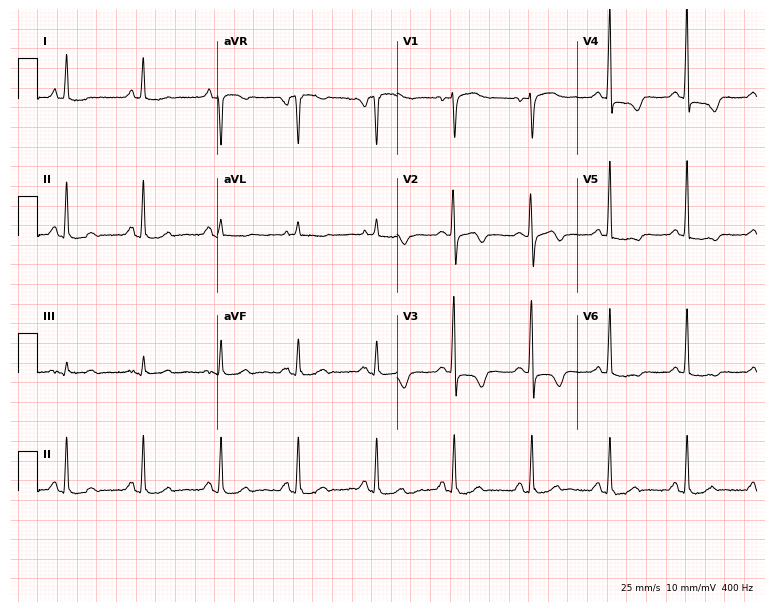
12-lead ECG (7.3-second recording at 400 Hz) from a 74-year-old female. Screened for six findings — first-degree AV block, right bundle branch block, left bundle branch block, sinus bradycardia, atrial fibrillation, sinus tachycardia — none is recorded. Findings outside these six are not listed.